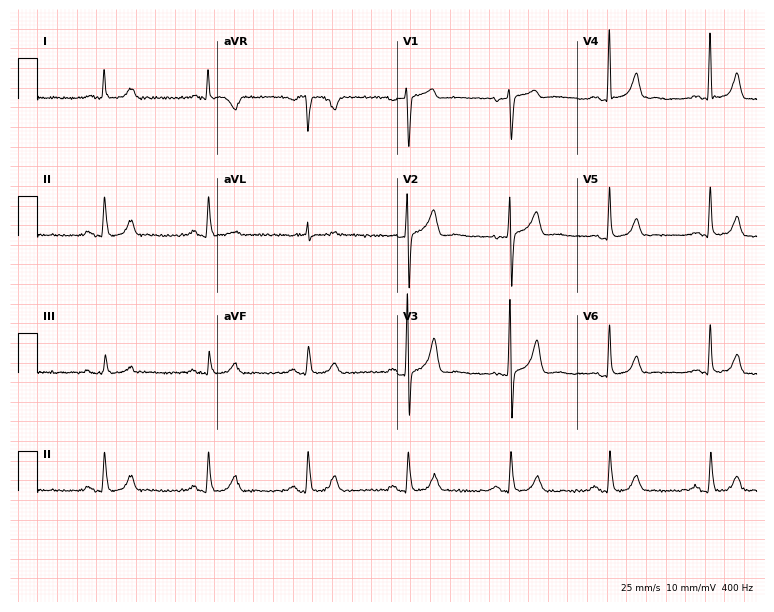
ECG — a male patient, 78 years old. Labelled as a normal ECG.